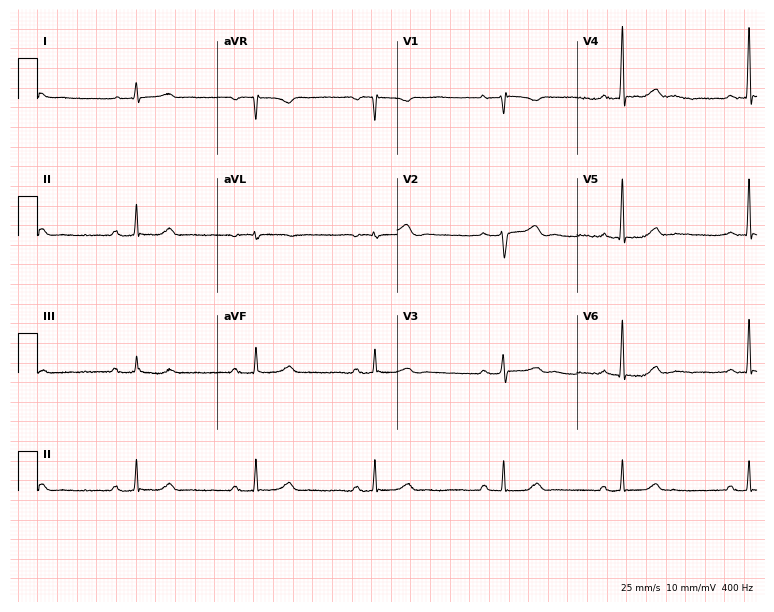
Electrocardiogram, a female, 50 years old. Interpretation includes first-degree AV block.